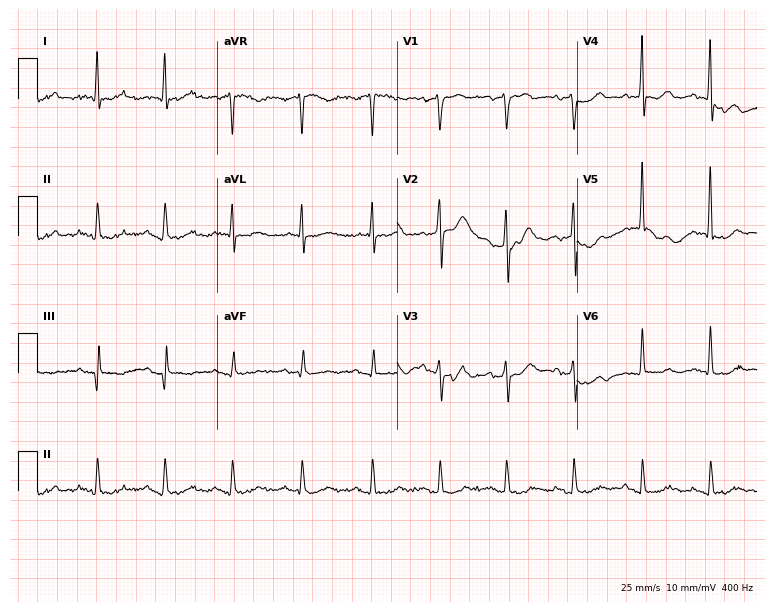
12-lead ECG (7.3-second recording at 400 Hz) from a male patient, 75 years old. Labelled as a normal ECG.